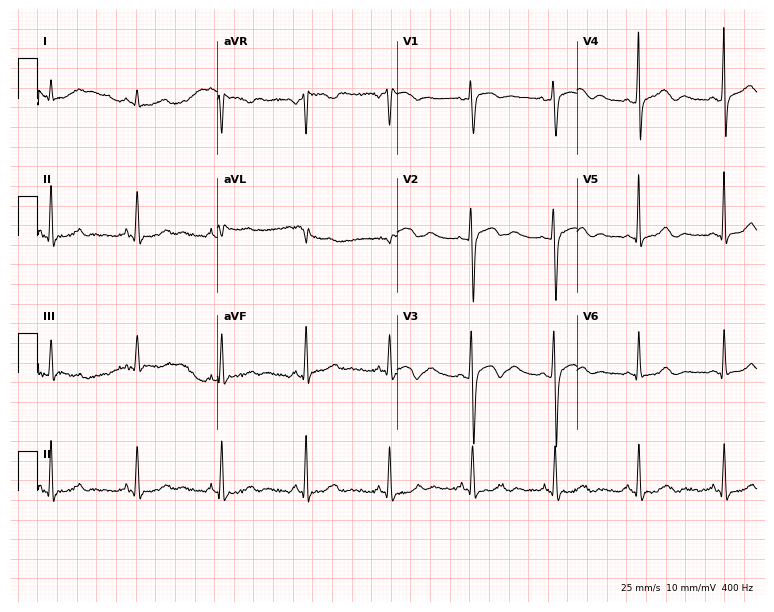
Electrocardiogram, a 53-year-old male patient. Overall reading on record: normal ECG.